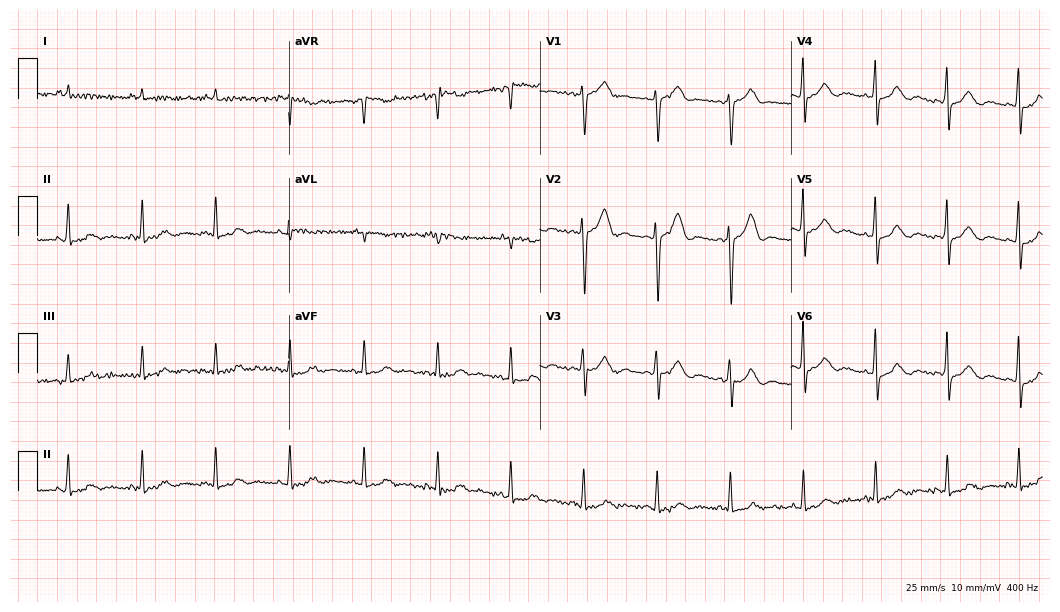
Resting 12-lead electrocardiogram (10.2-second recording at 400 Hz). Patient: a female, 67 years old. None of these six findings is recorded: first-degree AV block, right bundle branch block (RBBB), left bundle branch block (LBBB), sinus bradycardia, atrial fibrillation (AF), sinus tachycardia.